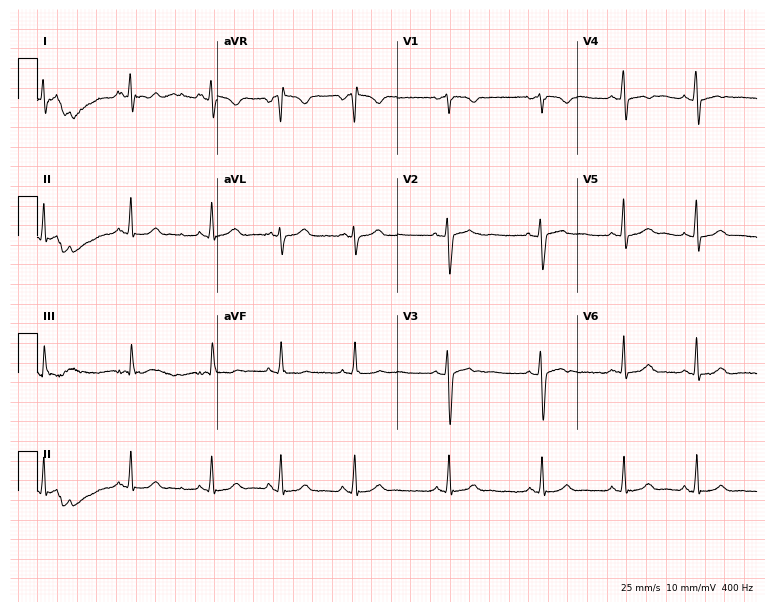
Resting 12-lead electrocardiogram (7.3-second recording at 400 Hz). Patient: a female, 20 years old. Read as a normal ECG.